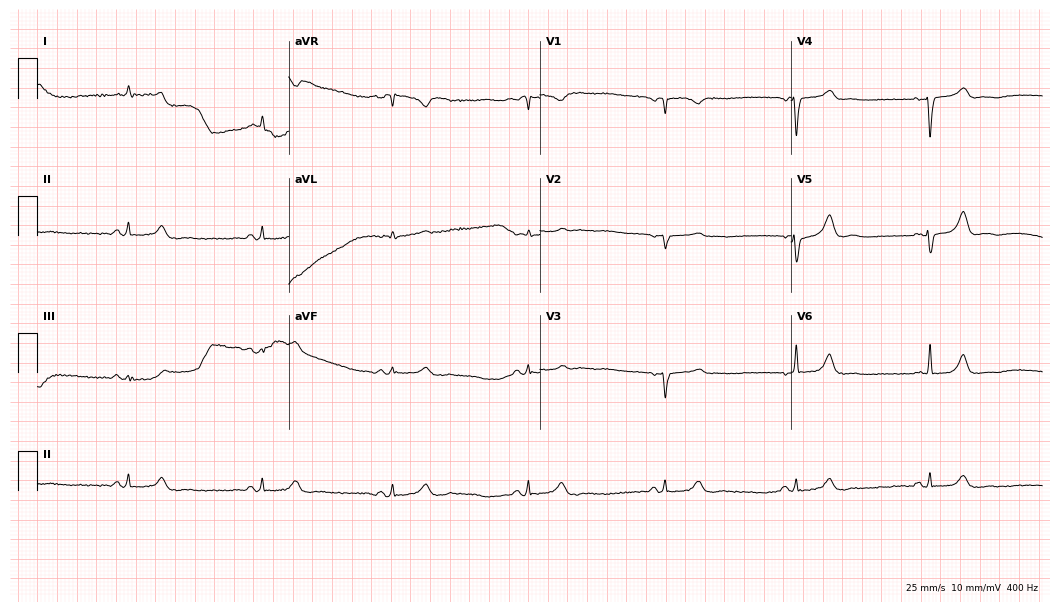
12-lead ECG from a 71-year-old female patient. Screened for six findings — first-degree AV block, right bundle branch block, left bundle branch block, sinus bradycardia, atrial fibrillation, sinus tachycardia — none is recorded. Other findings, if any, are not listed.